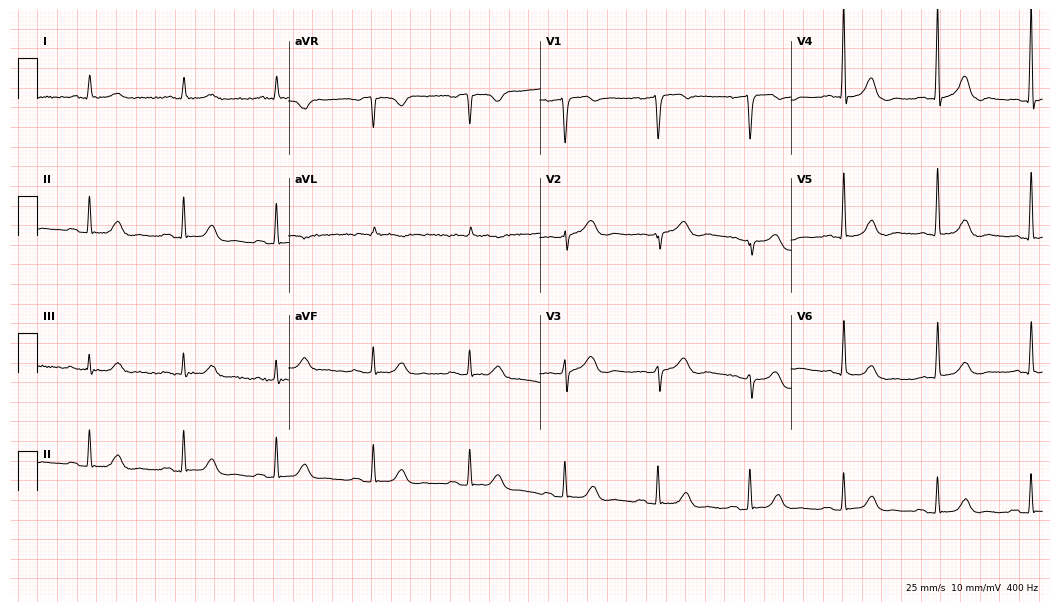
ECG — a 75-year-old male patient. Labelled as a normal ECG.